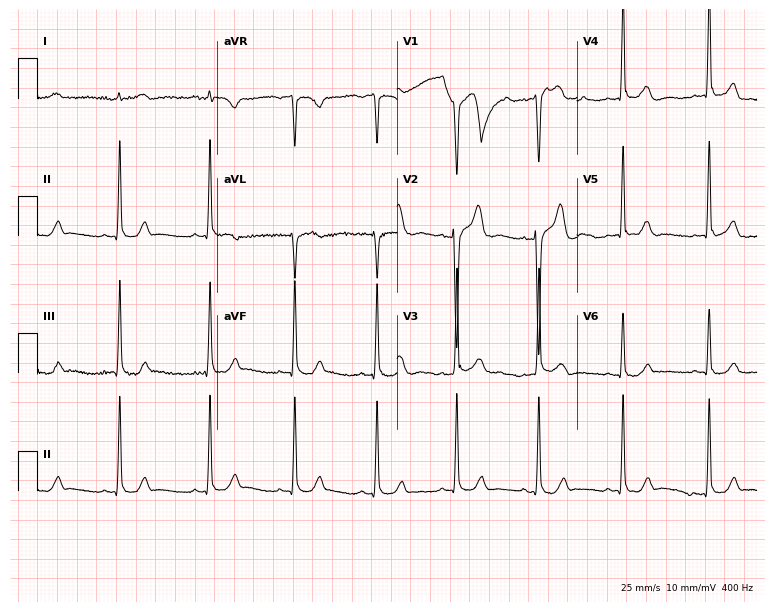
ECG (7.3-second recording at 400 Hz) — a man, 26 years old. Labelled as a normal ECG.